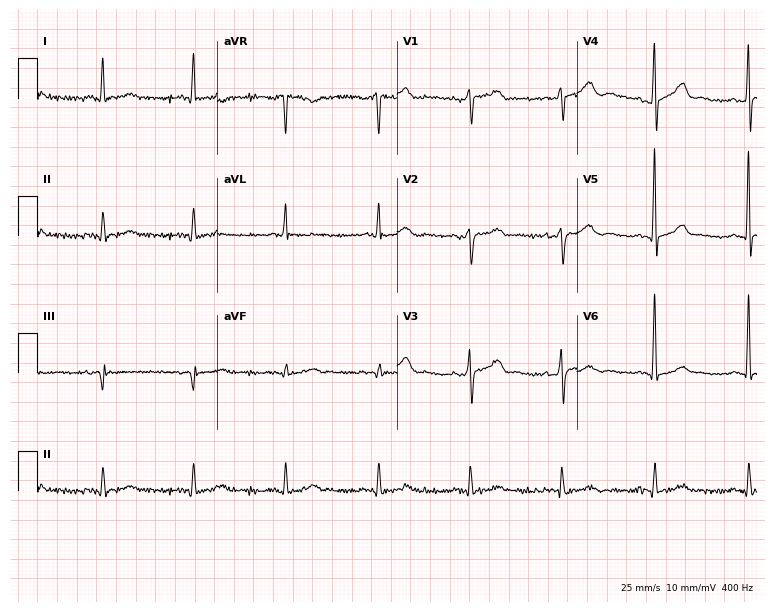
Electrocardiogram, a 64-year-old man. Overall reading on record: normal ECG.